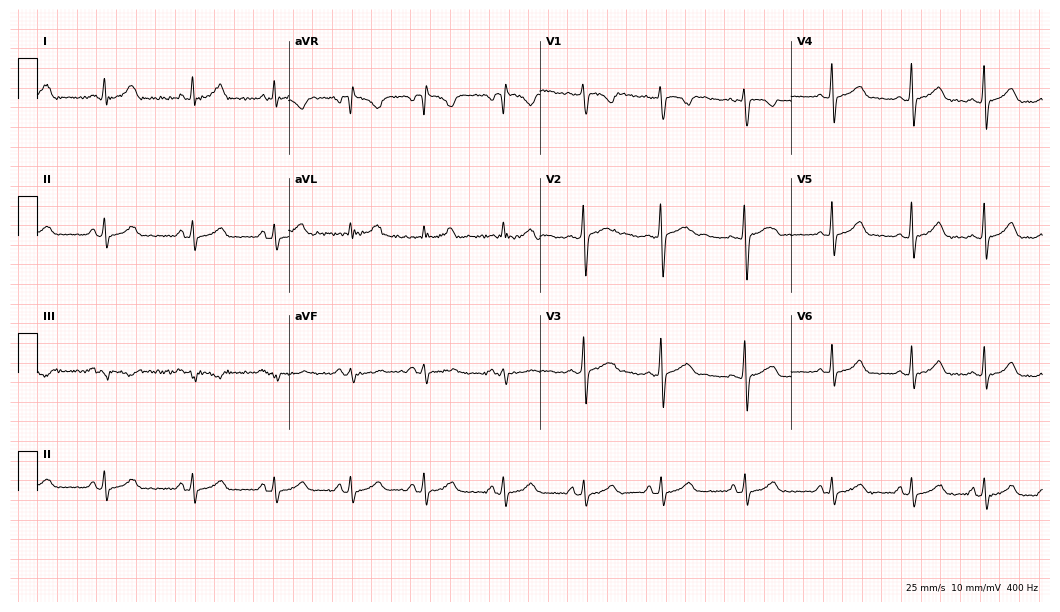
Resting 12-lead electrocardiogram. Patient: a 25-year-old woman. Read as a normal ECG.